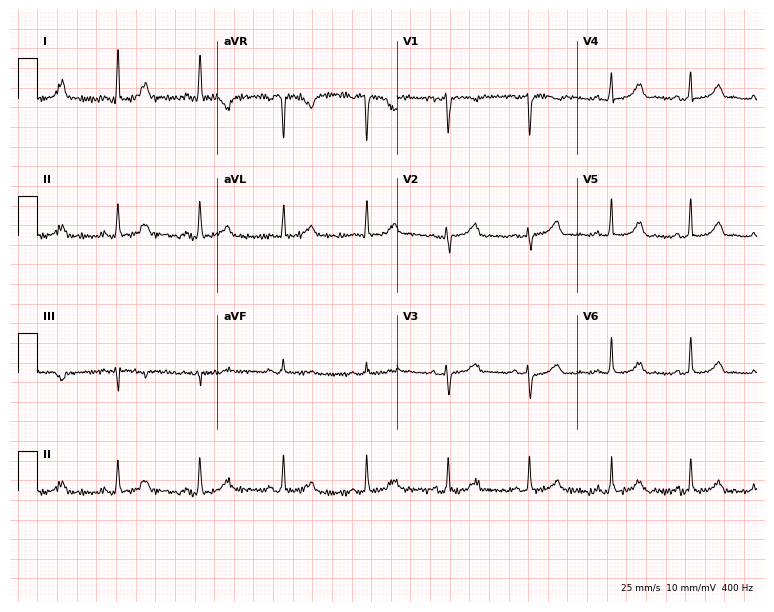
Electrocardiogram, a female, 47 years old. Overall reading on record: normal ECG.